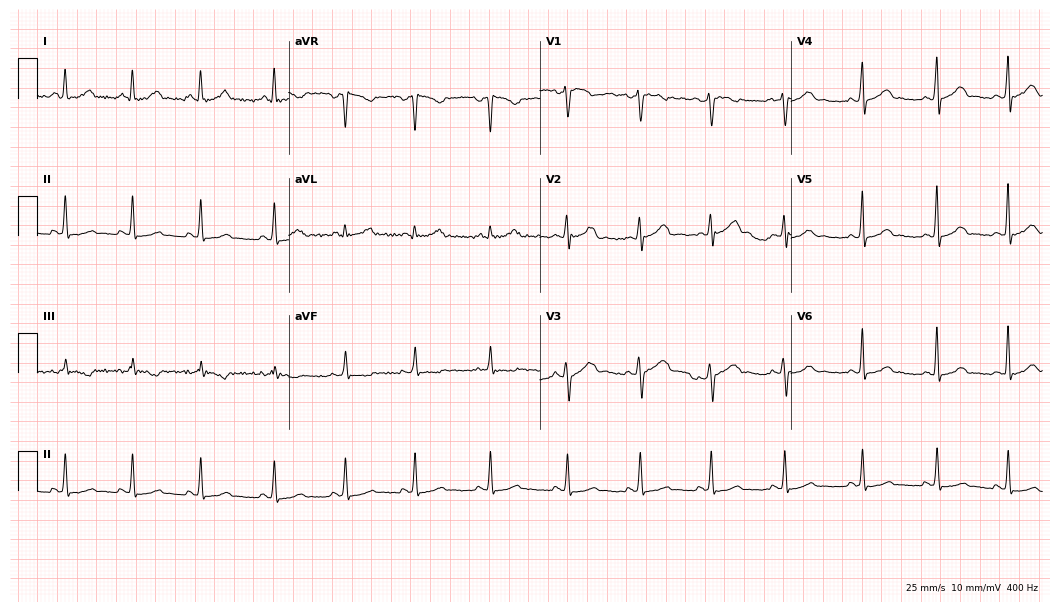
Standard 12-lead ECG recorded from a 47-year-old female patient (10.2-second recording at 400 Hz). Read as a normal ECG.